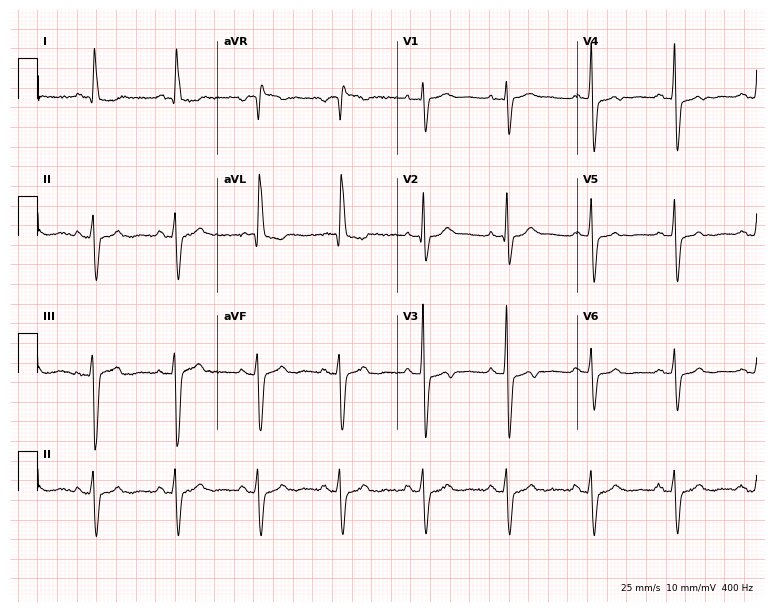
Electrocardiogram (7.3-second recording at 400 Hz), an 83-year-old female. Interpretation includes right bundle branch block (RBBB).